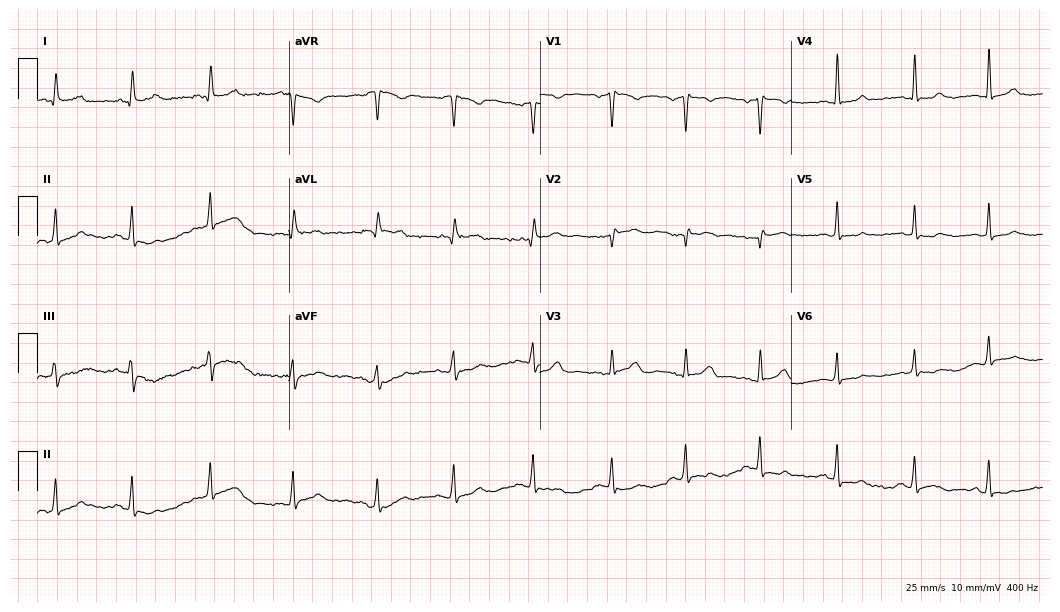
Resting 12-lead electrocardiogram. Patient: a 38-year-old woman. Read as a normal ECG.